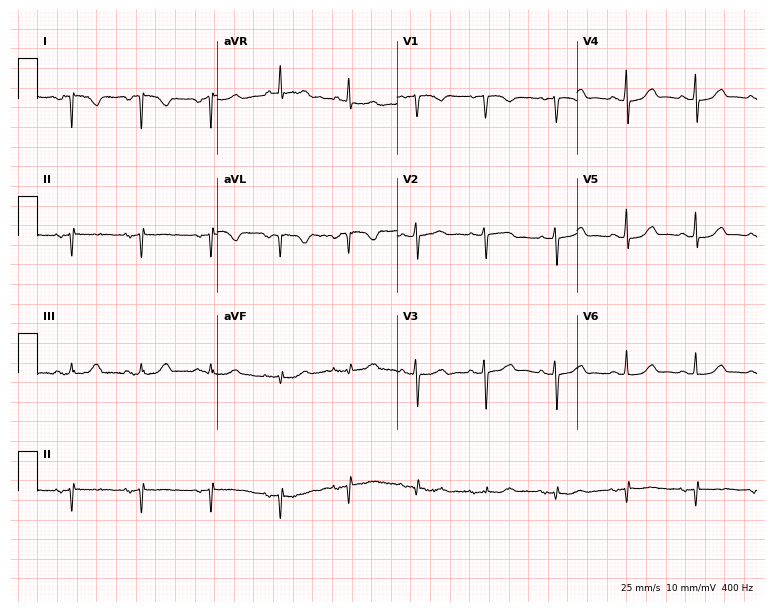
Standard 12-lead ECG recorded from a 62-year-old woman. None of these six findings is recorded: first-degree AV block, right bundle branch block, left bundle branch block, sinus bradycardia, atrial fibrillation, sinus tachycardia. Only these six findings were labelled.